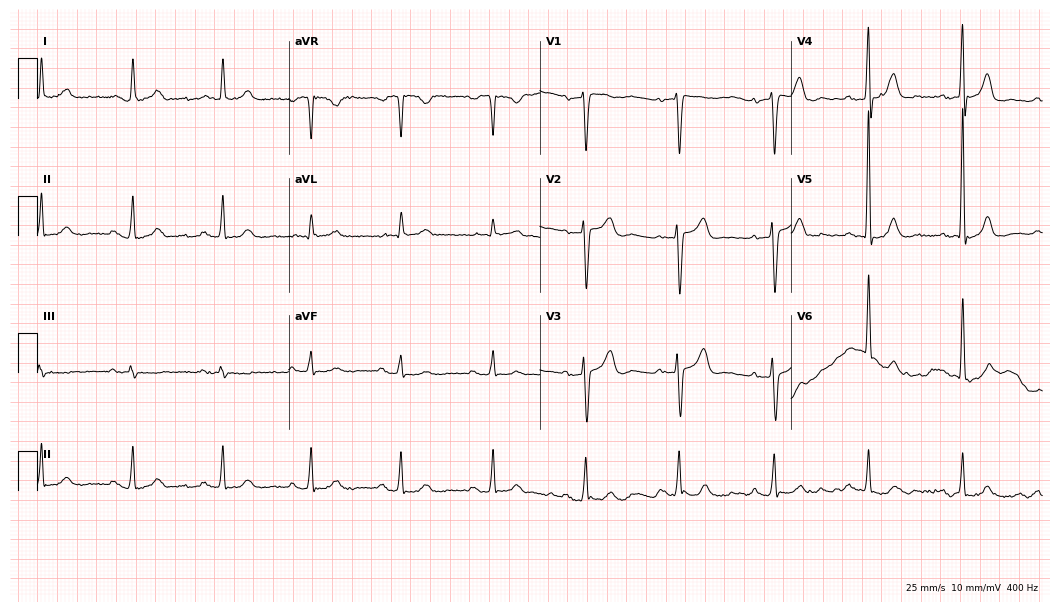
ECG — a 75-year-old male patient. Labelled as a normal ECG.